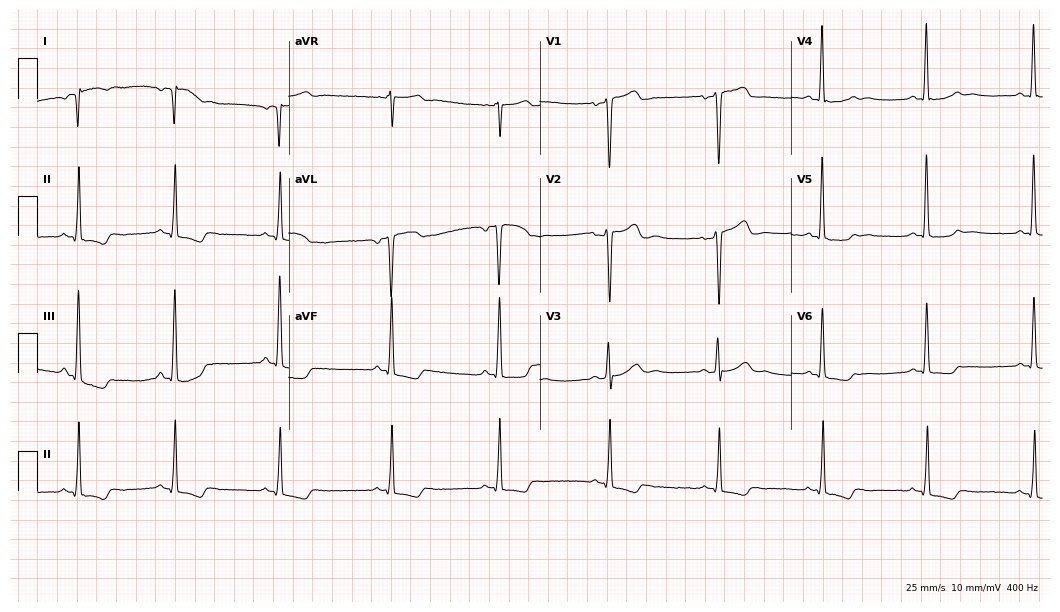
12-lead ECG from a 41-year-old woman. No first-degree AV block, right bundle branch block, left bundle branch block, sinus bradycardia, atrial fibrillation or sinus tachycardia recorded for this tracing.